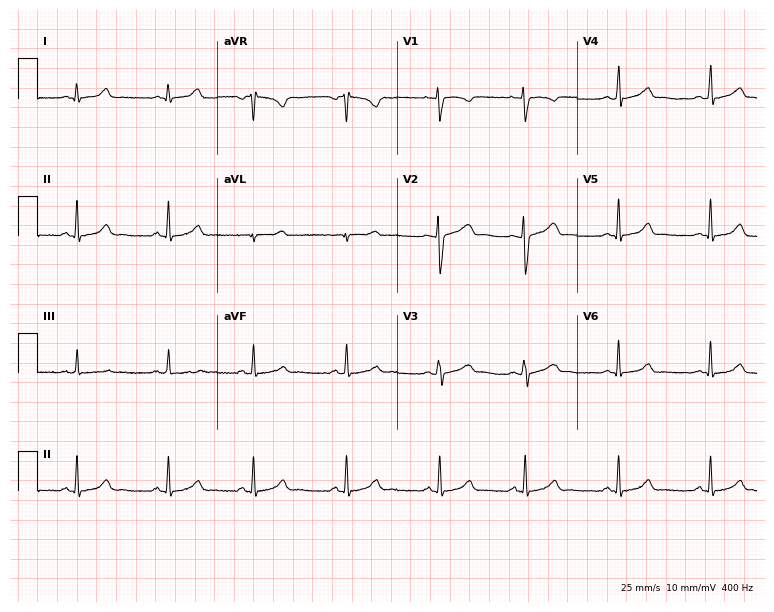
Electrocardiogram, a female patient, 23 years old. Overall reading on record: normal ECG.